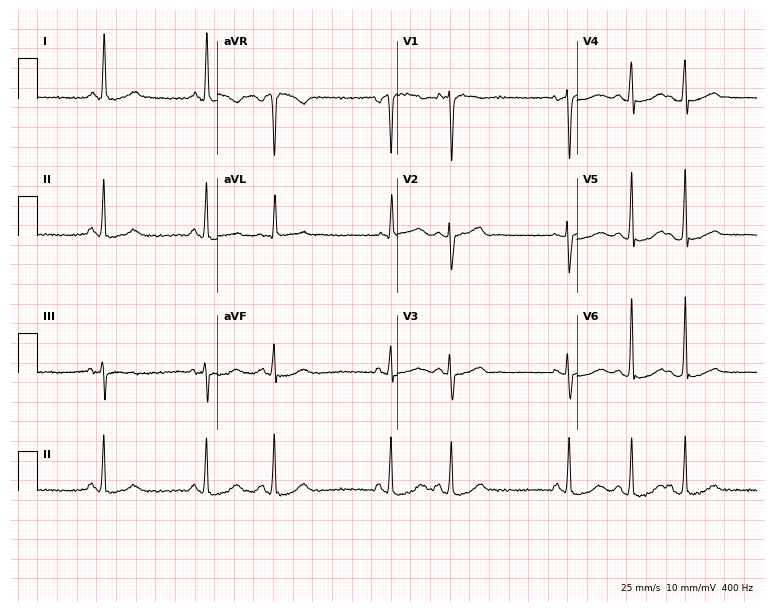
12-lead ECG from a woman, 55 years old. Screened for six findings — first-degree AV block, right bundle branch block, left bundle branch block, sinus bradycardia, atrial fibrillation, sinus tachycardia — none is recorded.